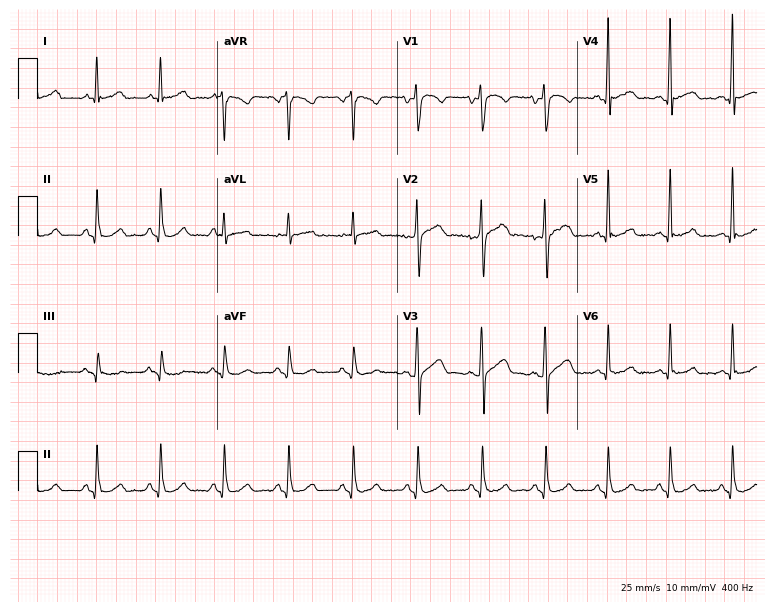
Electrocardiogram (7.3-second recording at 400 Hz), a man, 57 years old. Overall reading on record: normal ECG.